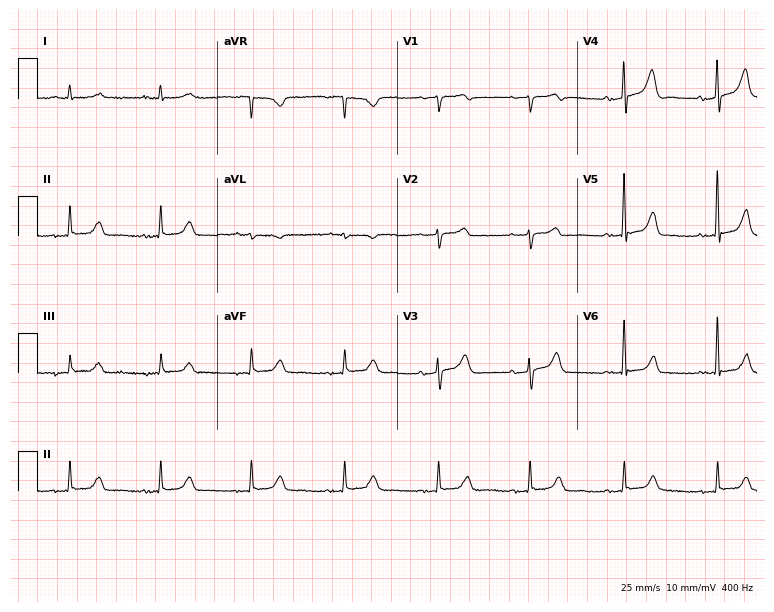
Standard 12-lead ECG recorded from an 82-year-old female patient (7.3-second recording at 400 Hz). None of these six findings is recorded: first-degree AV block, right bundle branch block (RBBB), left bundle branch block (LBBB), sinus bradycardia, atrial fibrillation (AF), sinus tachycardia. Other findings, if any, are not listed.